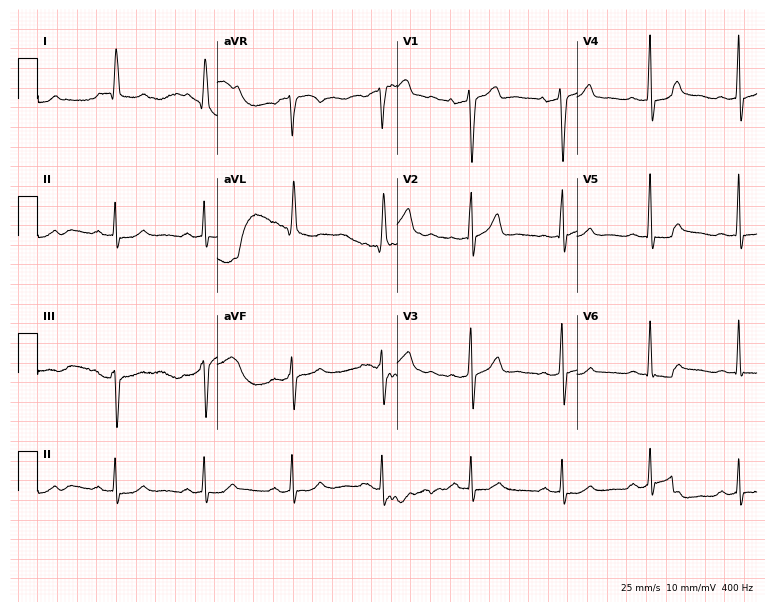
Electrocardiogram (7.3-second recording at 400 Hz), a male patient, 75 years old. Overall reading on record: normal ECG.